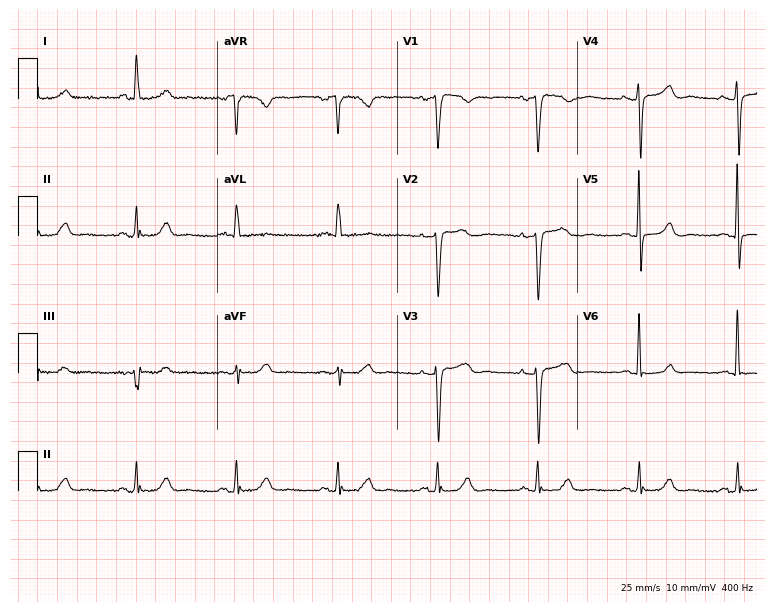
Electrocardiogram (7.3-second recording at 400 Hz), a female, 57 years old. Overall reading on record: normal ECG.